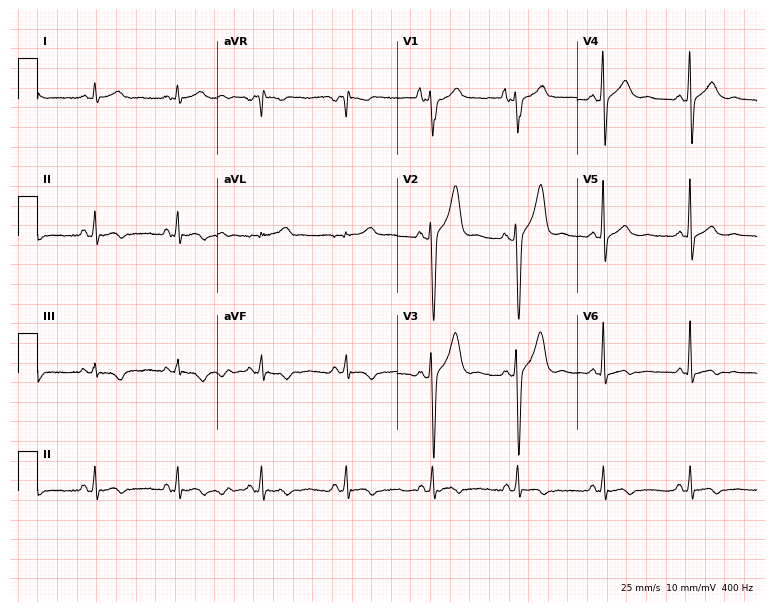
12-lead ECG from a 56-year-old male. No first-degree AV block, right bundle branch block (RBBB), left bundle branch block (LBBB), sinus bradycardia, atrial fibrillation (AF) or sinus tachycardia recorded for this tracing. Findings outside these six are not listed.